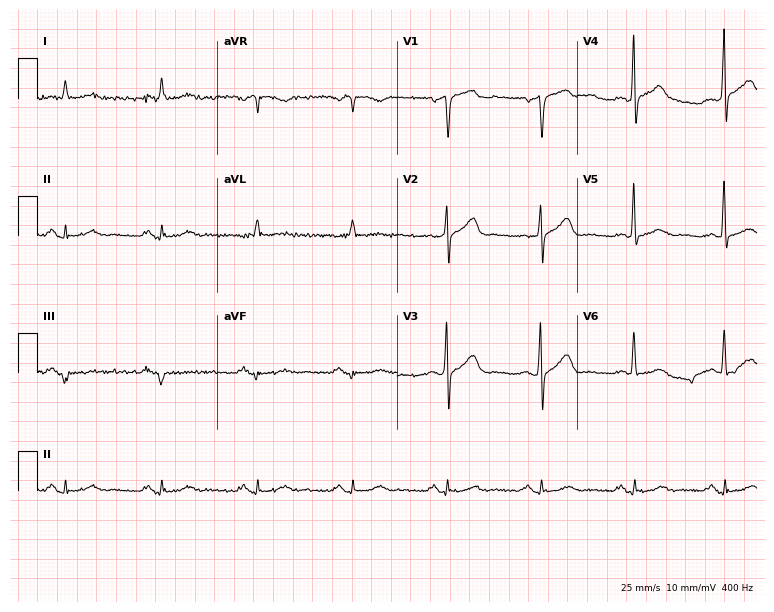
12-lead ECG (7.3-second recording at 400 Hz) from a man, 69 years old. Labelled as a normal ECG.